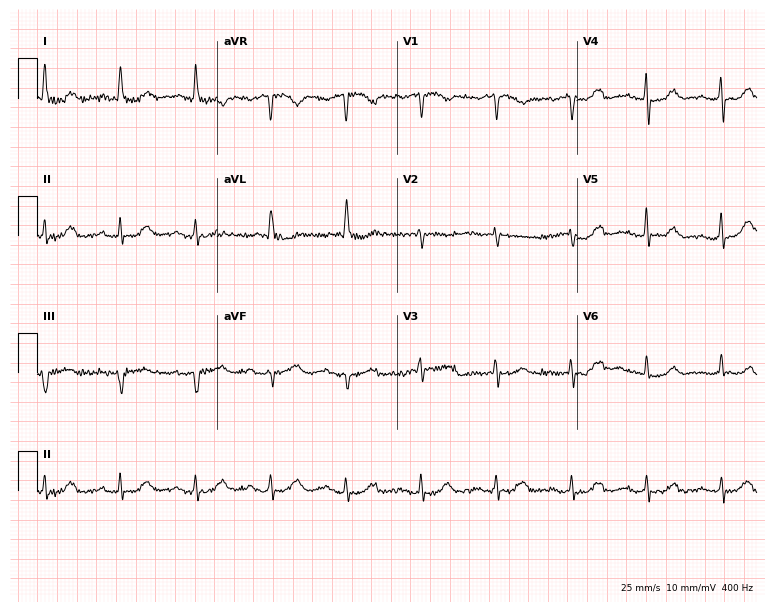
12-lead ECG from an 82-year-old man (7.3-second recording at 400 Hz). No first-degree AV block, right bundle branch block, left bundle branch block, sinus bradycardia, atrial fibrillation or sinus tachycardia recorded for this tracing.